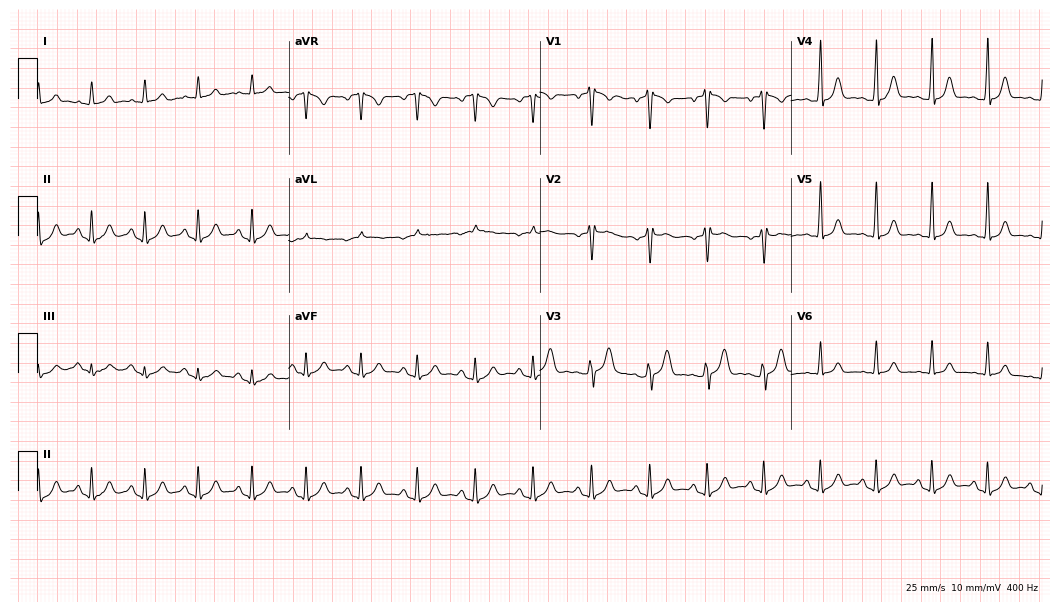
12-lead ECG from a male, 22 years old. Findings include sinus tachycardia (a sinus rate of 100 beats per minute or more).